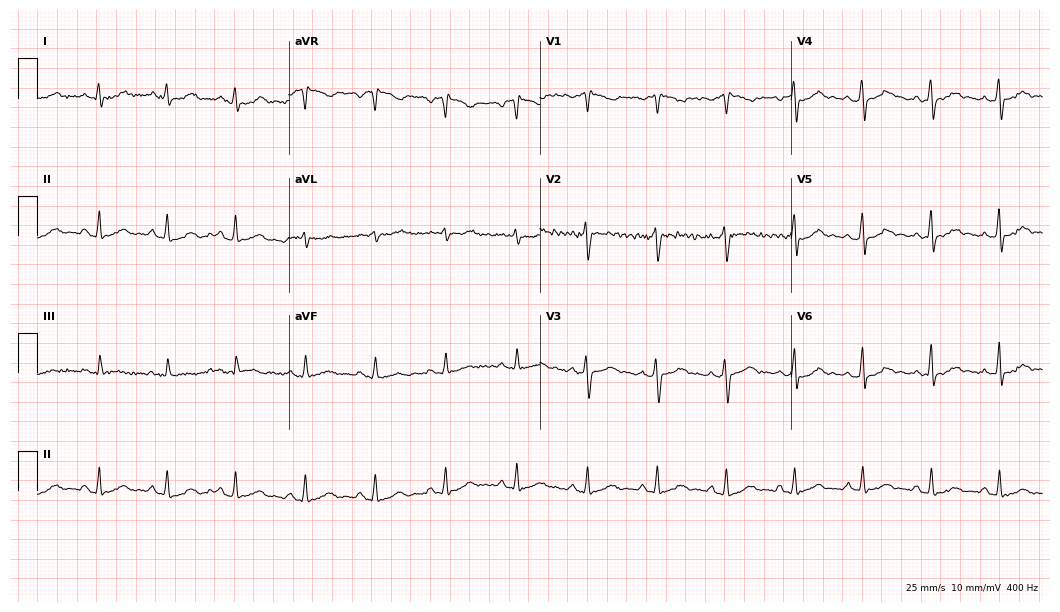
Standard 12-lead ECG recorded from a male patient, 41 years old (10.2-second recording at 400 Hz). Read as a normal ECG.